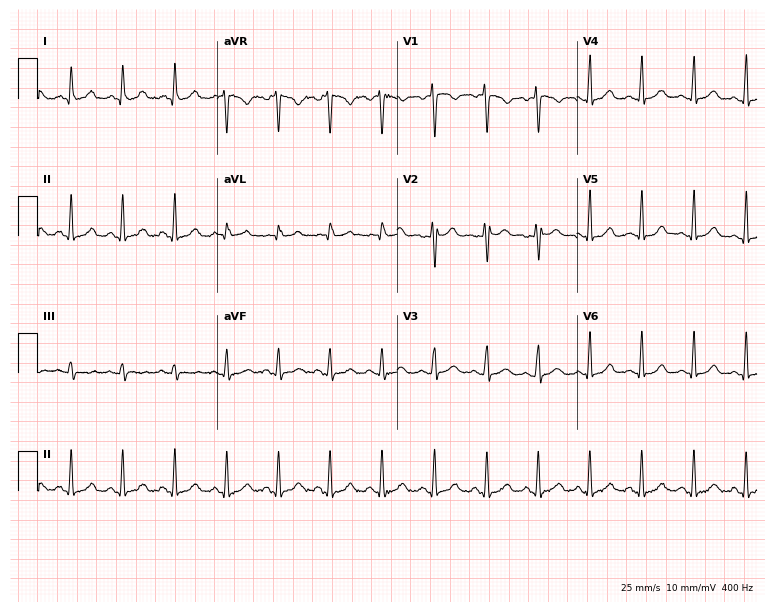
Resting 12-lead electrocardiogram (7.3-second recording at 400 Hz). Patient: a female, 26 years old. The tracing shows sinus tachycardia (a sinus rate of 100 beats per minute or more).